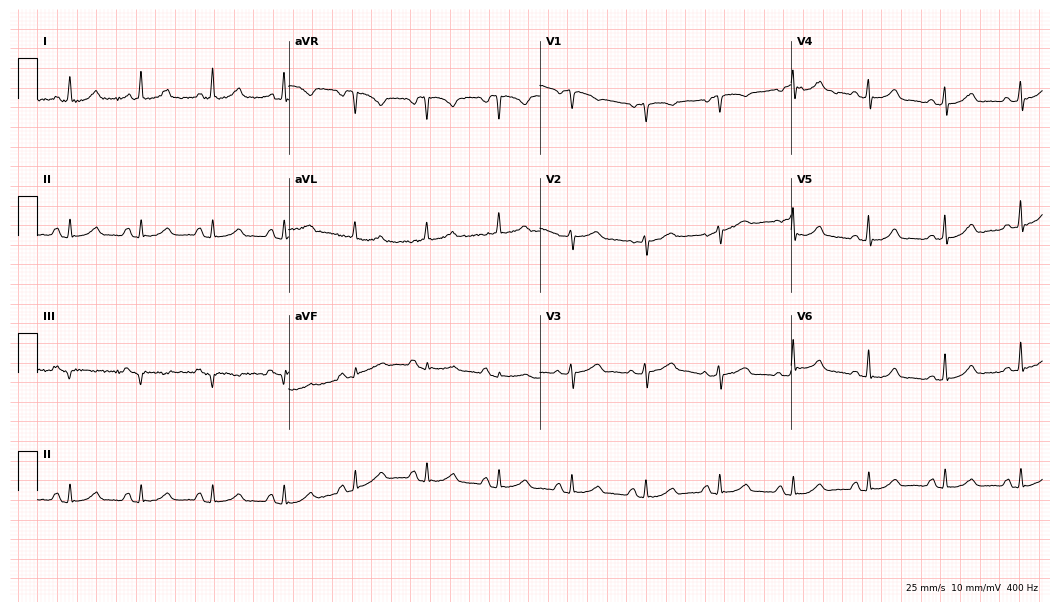
12-lead ECG from a female, 56 years old. Labelled as a normal ECG.